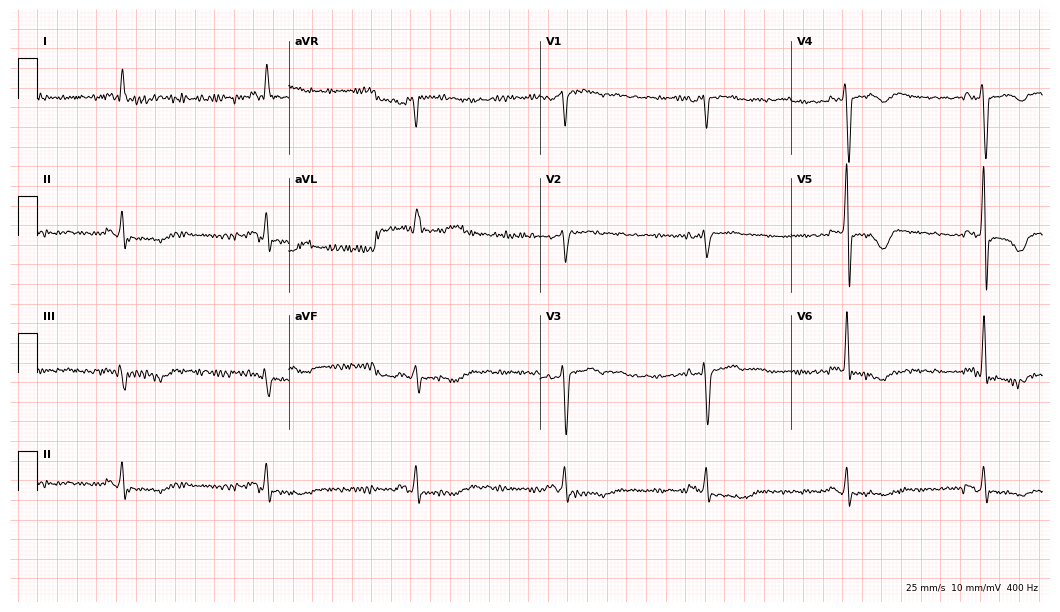
12-lead ECG from a 61-year-old male patient. No first-degree AV block, right bundle branch block (RBBB), left bundle branch block (LBBB), sinus bradycardia, atrial fibrillation (AF) or sinus tachycardia recorded for this tracing.